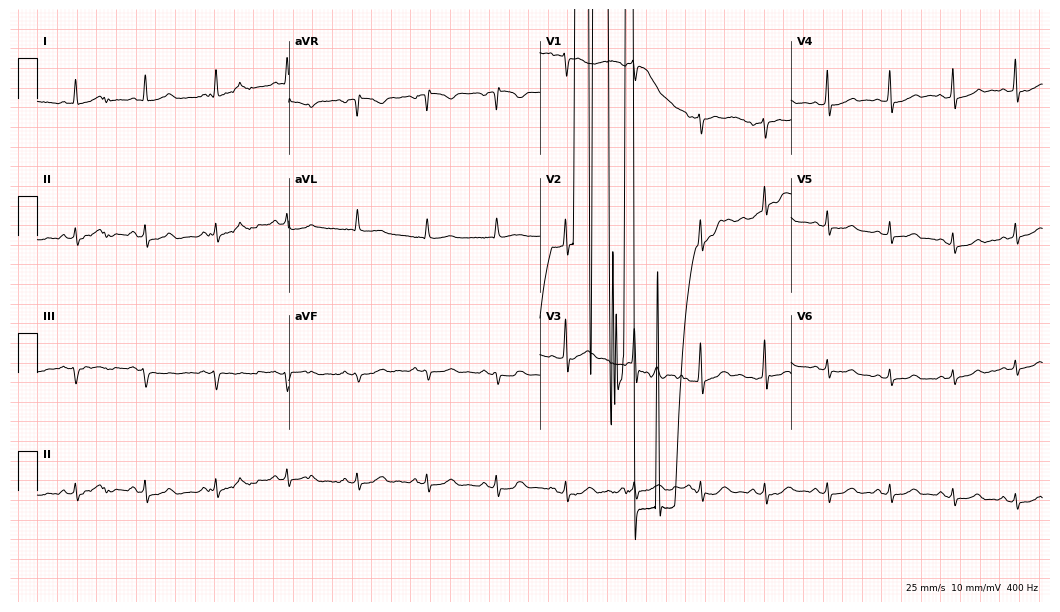
Electrocardiogram (10.2-second recording at 400 Hz), a 58-year-old man. Of the six screened findings (first-degree AV block, right bundle branch block (RBBB), left bundle branch block (LBBB), sinus bradycardia, atrial fibrillation (AF), sinus tachycardia), none is recorded. Only these six findings were labelled.